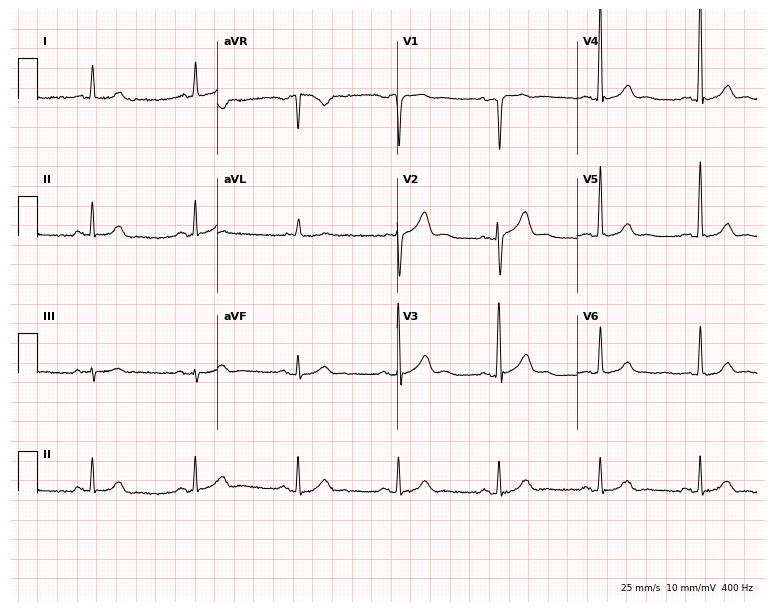
Resting 12-lead electrocardiogram. Patient: a 65-year-old man. Read as a normal ECG.